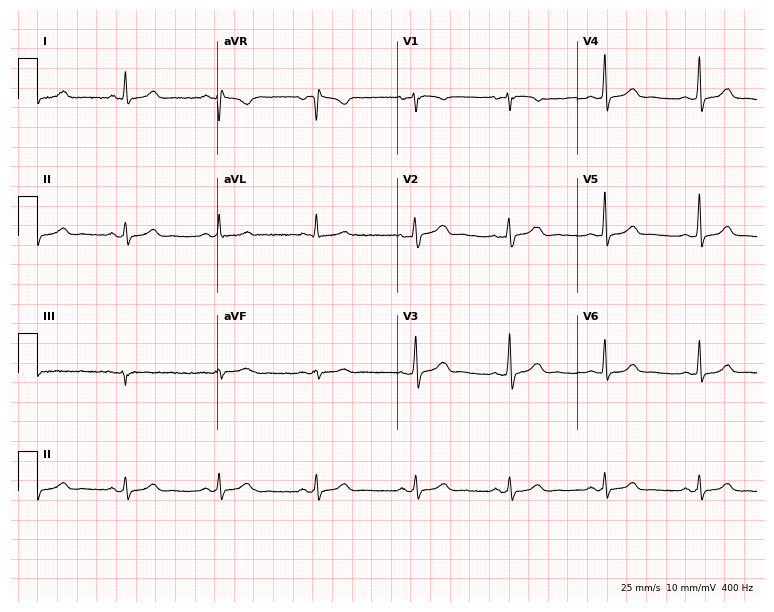
Electrocardiogram (7.3-second recording at 400 Hz), a 35-year-old woman. Overall reading on record: normal ECG.